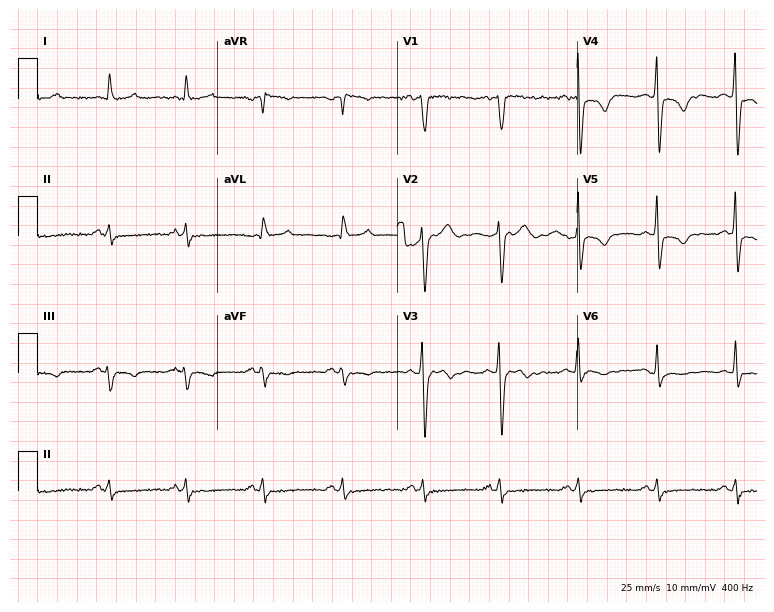
12-lead ECG from a 51-year-old male patient. No first-degree AV block, right bundle branch block, left bundle branch block, sinus bradycardia, atrial fibrillation or sinus tachycardia recorded for this tracing.